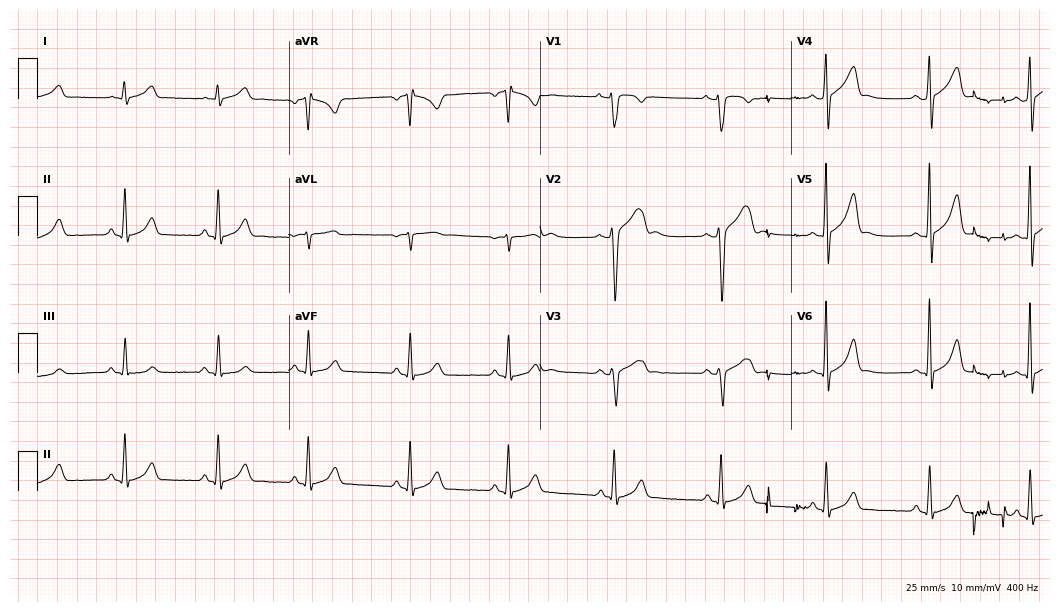
Resting 12-lead electrocardiogram (10.2-second recording at 400 Hz). Patient: a 17-year-old male. None of these six findings is recorded: first-degree AV block, right bundle branch block, left bundle branch block, sinus bradycardia, atrial fibrillation, sinus tachycardia.